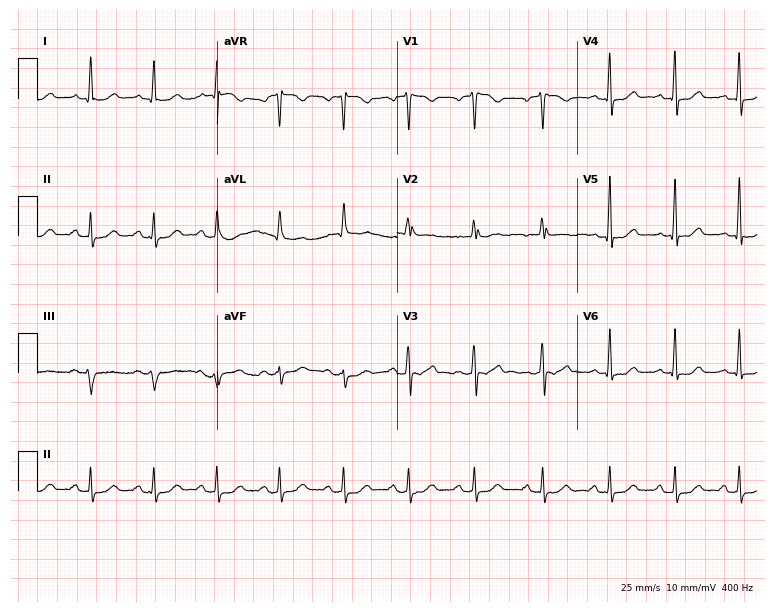
ECG (7.3-second recording at 400 Hz) — a woman, 51 years old. Labelled as a normal ECG.